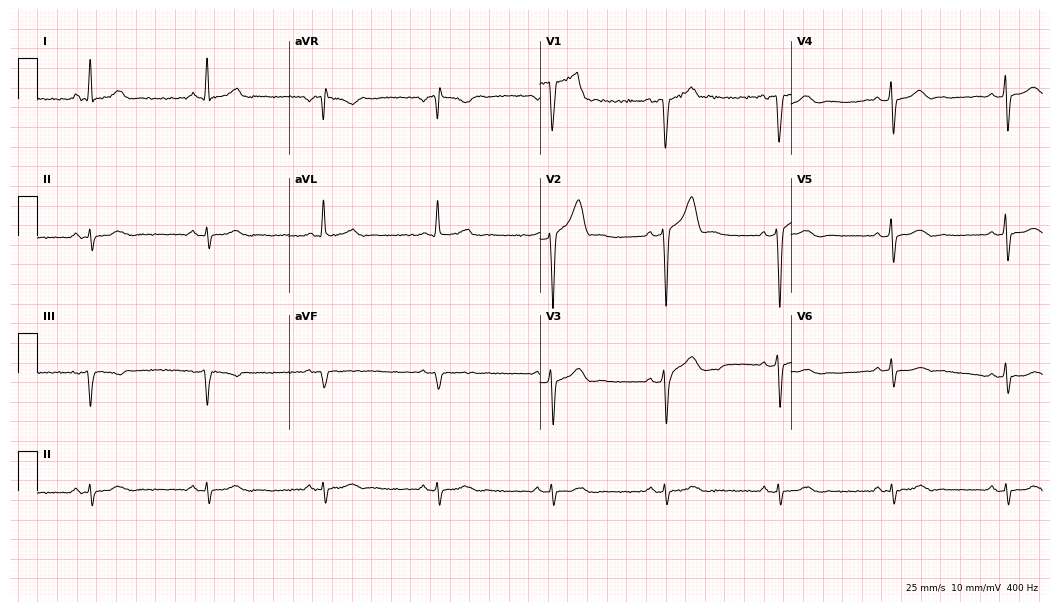
12-lead ECG from a man, 53 years old. Screened for six findings — first-degree AV block, right bundle branch block, left bundle branch block, sinus bradycardia, atrial fibrillation, sinus tachycardia — none is recorded. Only these six findings were labelled.